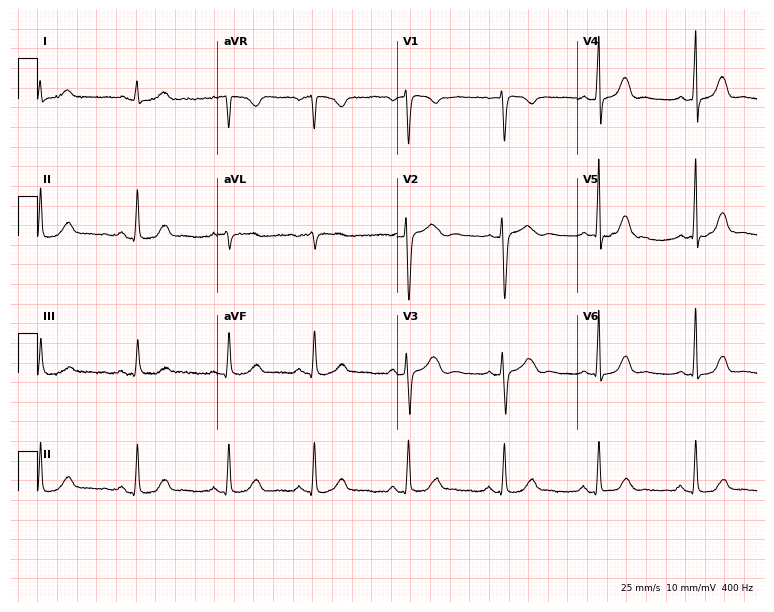
ECG (7.3-second recording at 400 Hz) — a woman, 37 years old. Labelled as a normal ECG.